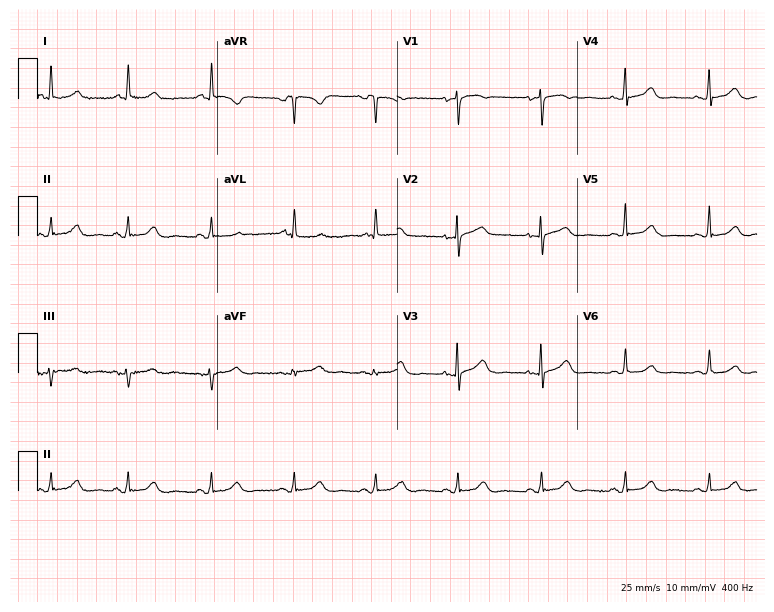
12-lead ECG from a female, 73 years old. Screened for six findings — first-degree AV block, right bundle branch block, left bundle branch block, sinus bradycardia, atrial fibrillation, sinus tachycardia — none is recorded. Other findings, if any, are not listed.